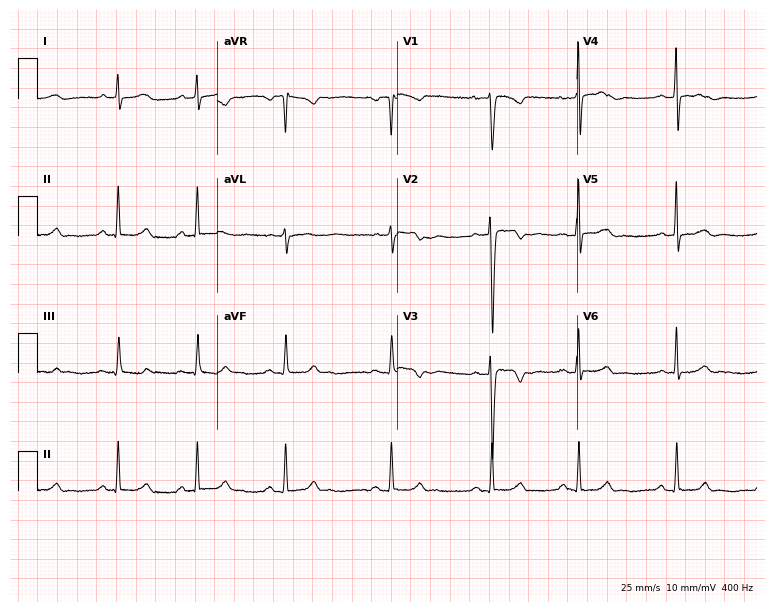
Resting 12-lead electrocardiogram. Patient: a 26-year-old female. None of these six findings is recorded: first-degree AV block, right bundle branch block, left bundle branch block, sinus bradycardia, atrial fibrillation, sinus tachycardia.